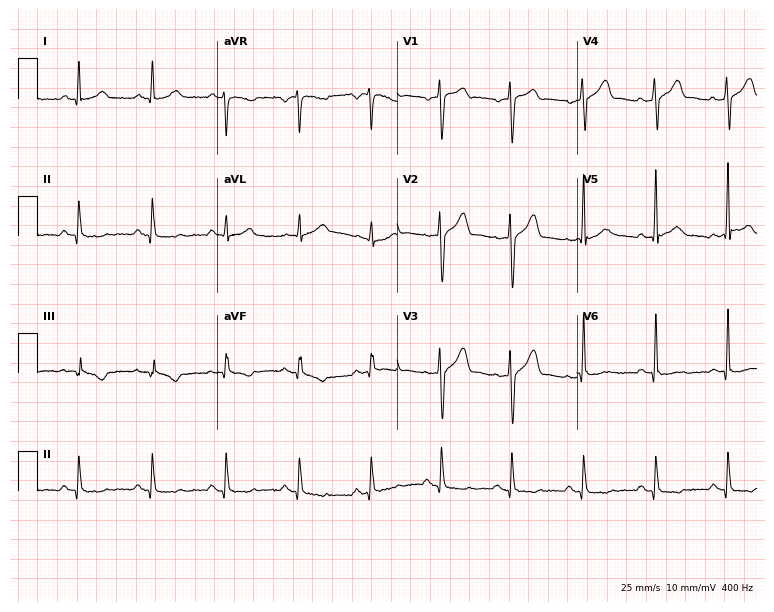
Standard 12-lead ECG recorded from a male patient, 41 years old (7.3-second recording at 400 Hz). Read as a normal ECG.